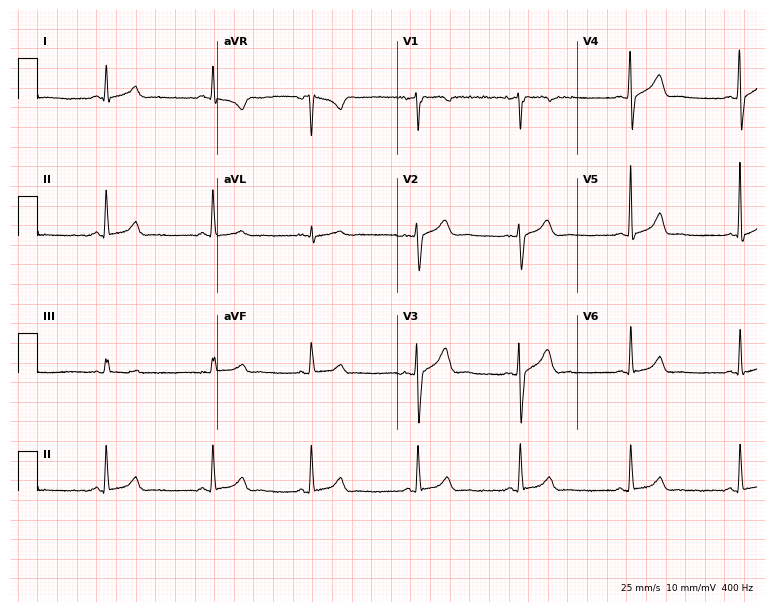
Resting 12-lead electrocardiogram (7.3-second recording at 400 Hz). Patient: a 31-year-old woman. Read as a normal ECG.